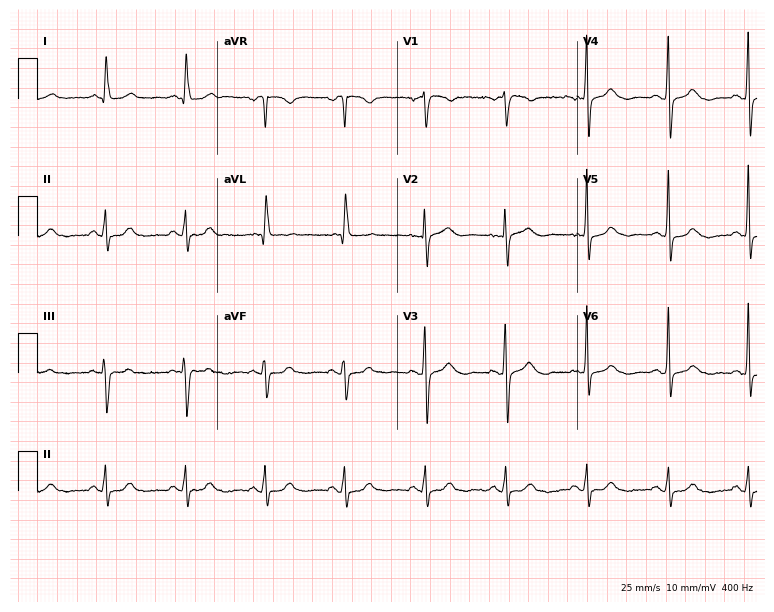
12-lead ECG from a 66-year-old woman. Labelled as a normal ECG.